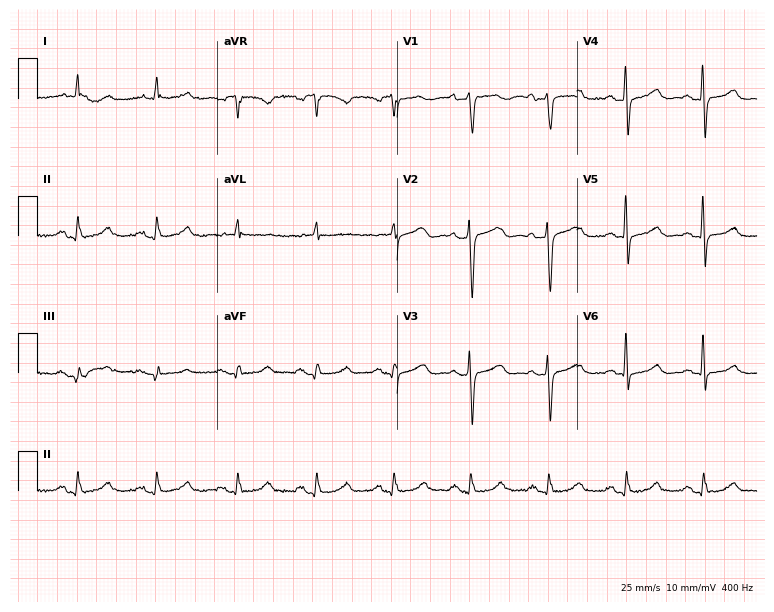
Resting 12-lead electrocardiogram (7.3-second recording at 400 Hz). Patient: a female, 84 years old. Read as a normal ECG.